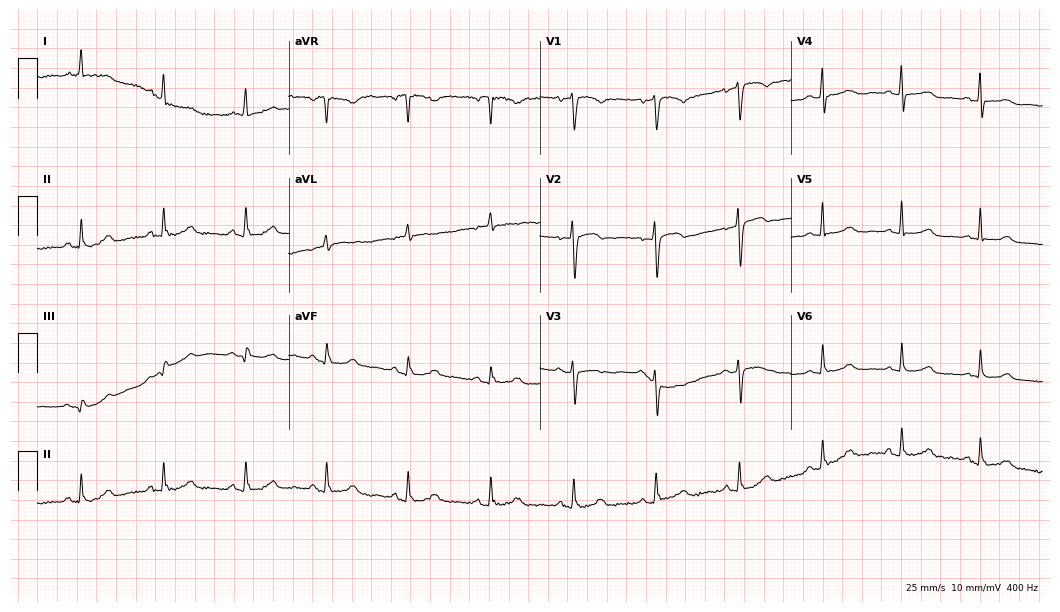
Standard 12-lead ECG recorded from a 72-year-old female (10.2-second recording at 400 Hz). Read as a normal ECG.